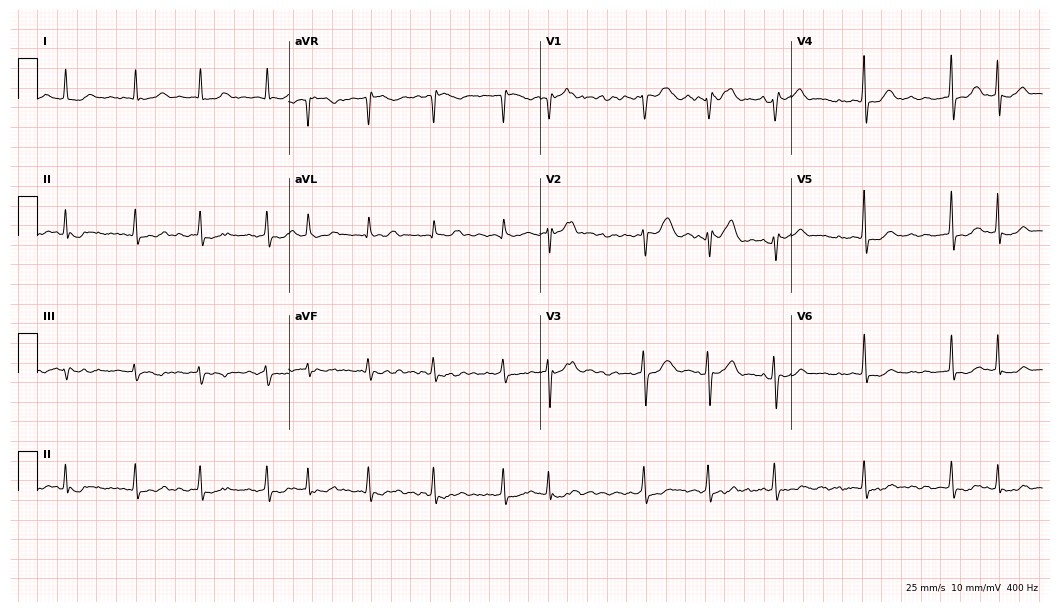
Resting 12-lead electrocardiogram. Patient: a 62-year-old female. The tracing shows atrial fibrillation.